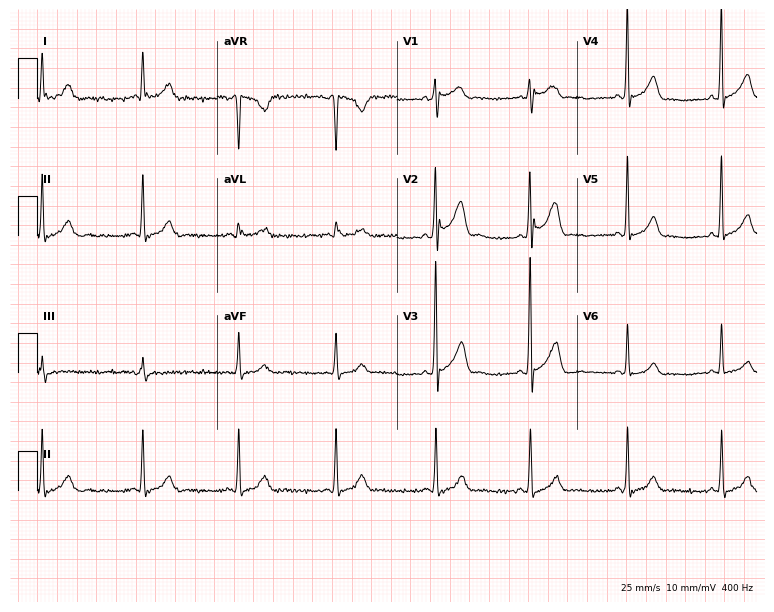
12-lead ECG (7.3-second recording at 400 Hz) from a male, 61 years old. Screened for six findings — first-degree AV block, right bundle branch block (RBBB), left bundle branch block (LBBB), sinus bradycardia, atrial fibrillation (AF), sinus tachycardia — none is recorded.